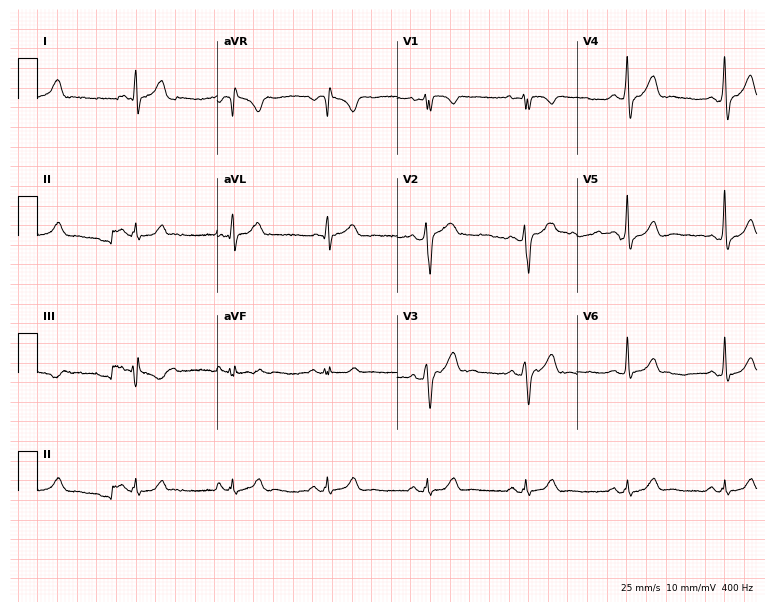
12-lead ECG from a 47-year-old male patient. Labelled as a normal ECG.